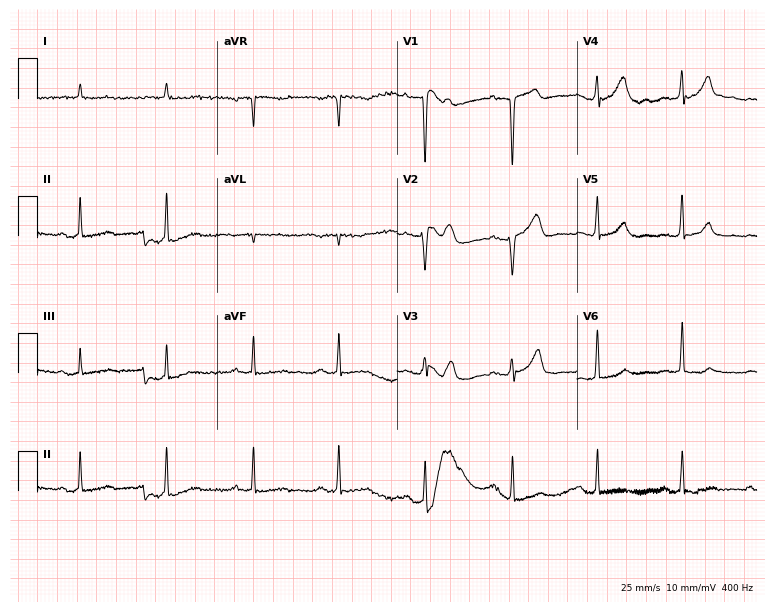
12-lead ECG from an 85-year-old male patient. Screened for six findings — first-degree AV block, right bundle branch block (RBBB), left bundle branch block (LBBB), sinus bradycardia, atrial fibrillation (AF), sinus tachycardia — none is recorded. Only these six findings were labelled.